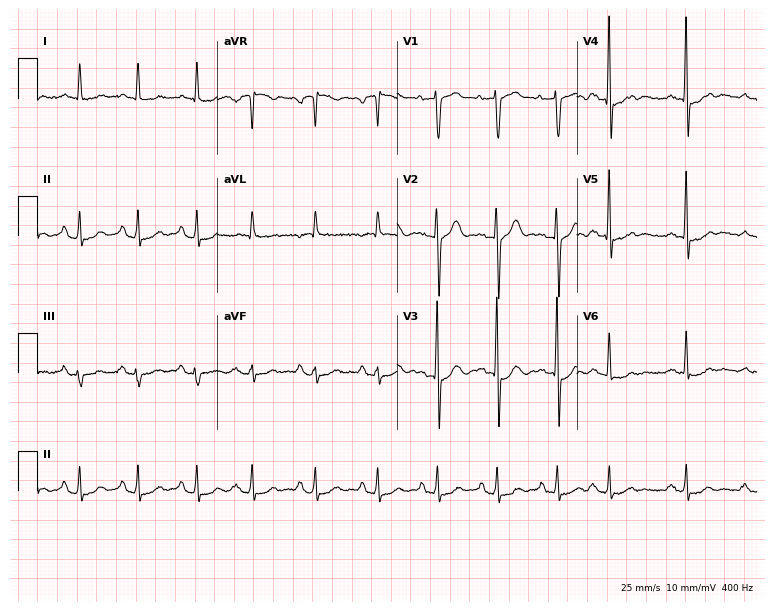
12-lead ECG (7.3-second recording at 400 Hz) from a 66-year-old male. Screened for six findings — first-degree AV block, right bundle branch block, left bundle branch block, sinus bradycardia, atrial fibrillation, sinus tachycardia — none is recorded.